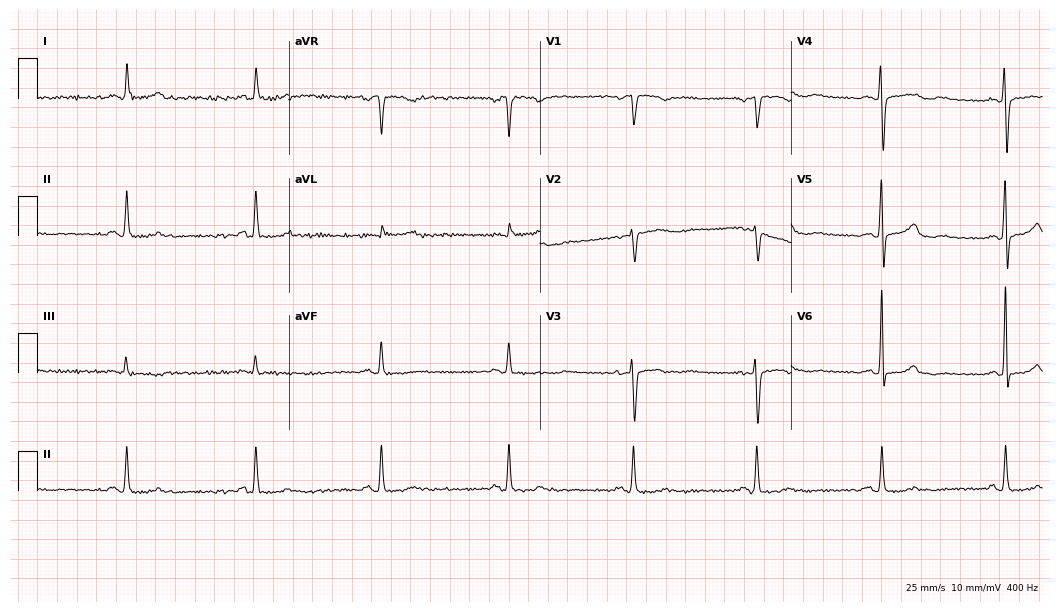
Resting 12-lead electrocardiogram (10.2-second recording at 400 Hz). Patient: a 61-year-old female. None of these six findings is recorded: first-degree AV block, right bundle branch block, left bundle branch block, sinus bradycardia, atrial fibrillation, sinus tachycardia. Findings outside these six are not listed.